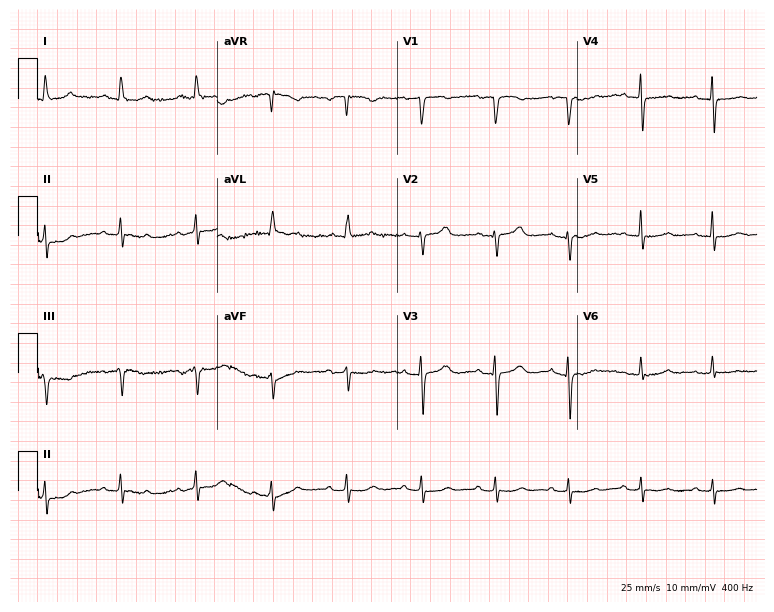
Standard 12-lead ECG recorded from a female patient, 69 years old (7.3-second recording at 400 Hz). None of these six findings is recorded: first-degree AV block, right bundle branch block, left bundle branch block, sinus bradycardia, atrial fibrillation, sinus tachycardia. Other findings, if any, are not listed.